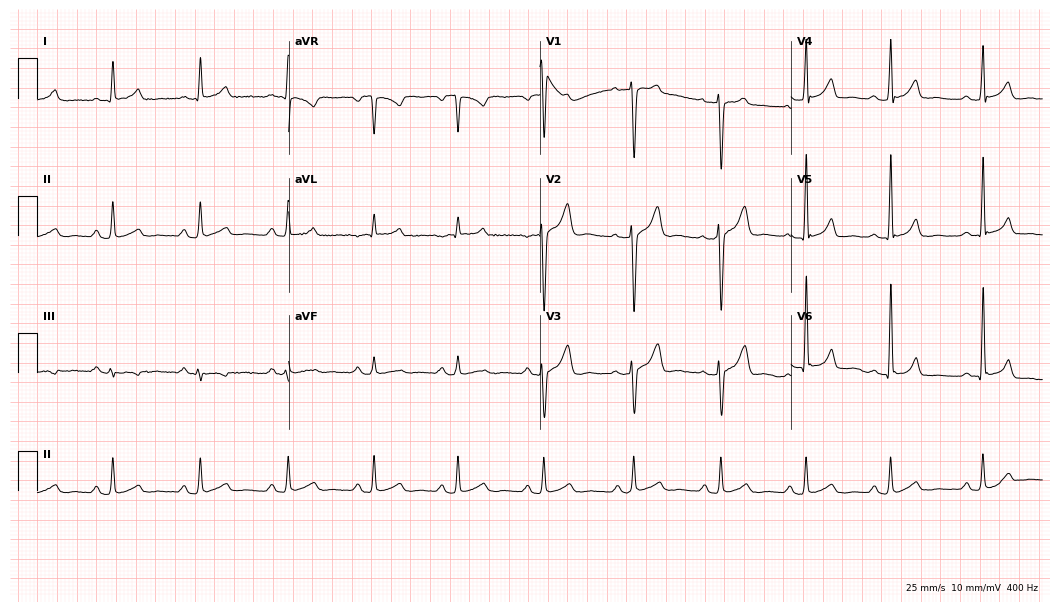
Electrocardiogram, a male patient, 31 years old. Overall reading on record: normal ECG.